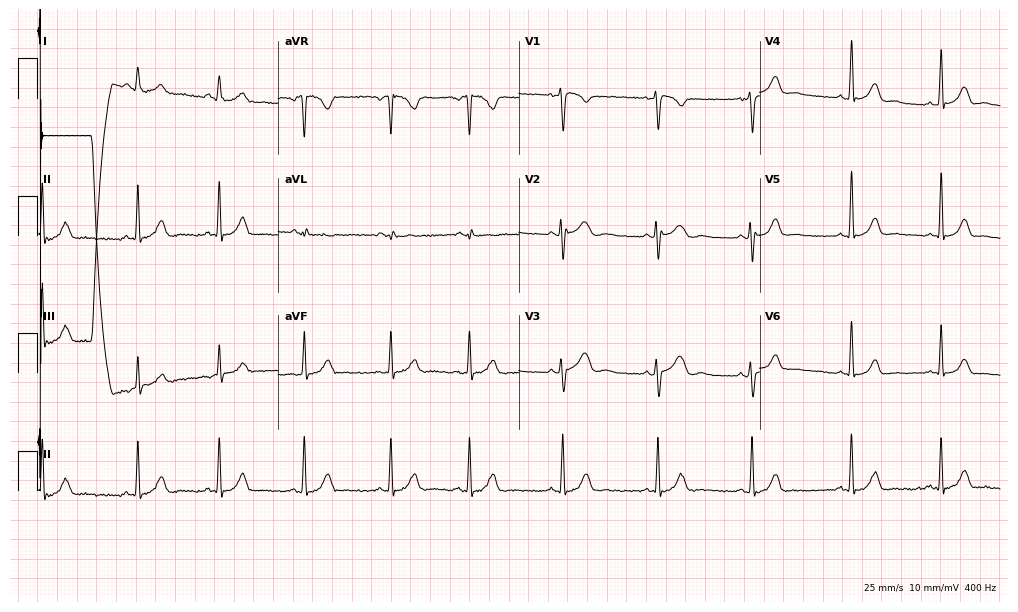
12-lead ECG from a woman, 22 years old (9.8-second recording at 400 Hz). No first-degree AV block, right bundle branch block, left bundle branch block, sinus bradycardia, atrial fibrillation or sinus tachycardia recorded for this tracing. Only these six findings were labelled.